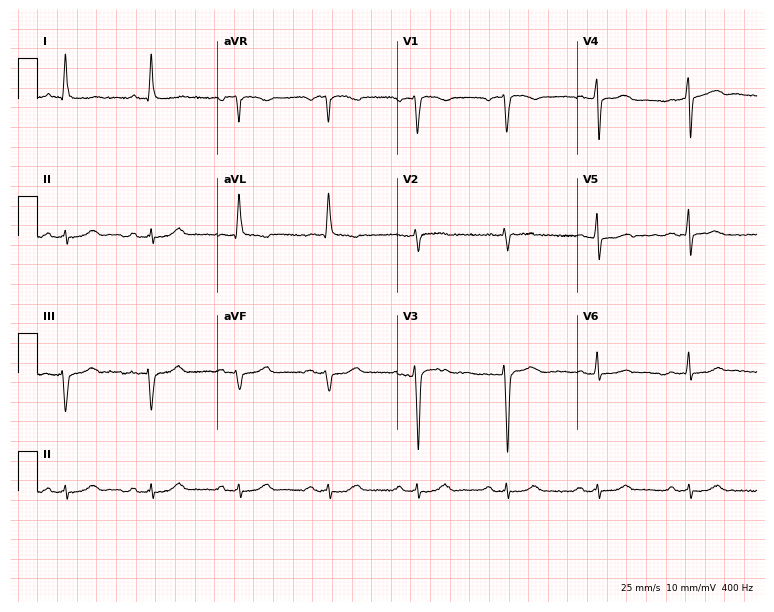
Standard 12-lead ECG recorded from a 74-year-old male (7.3-second recording at 400 Hz). None of these six findings is recorded: first-degree AV block, right bundle branch block, left bundle branch block, sinus bradycardia, atrial fibrillation, sinus tachycardia.